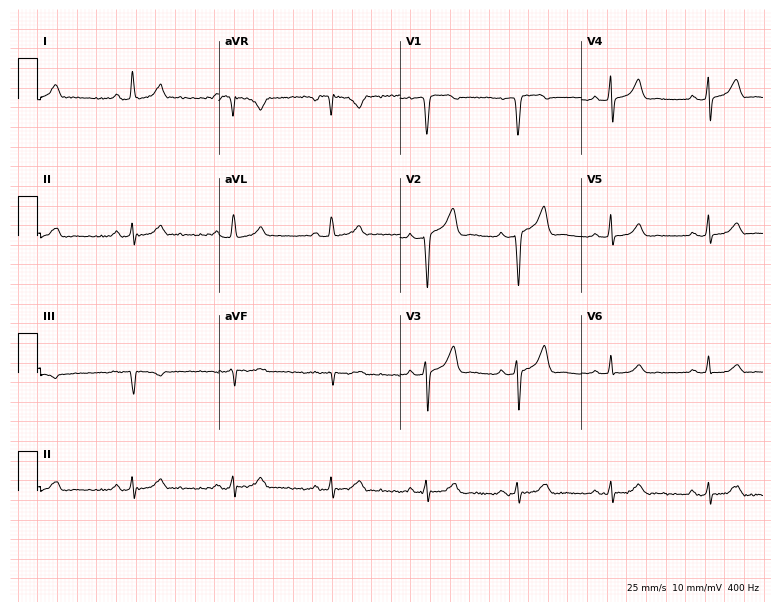
Standard 12-lead ECG recorded from a 38-year-old woman (7.4-second recording at 400 Hz). Read as a normal ECG.